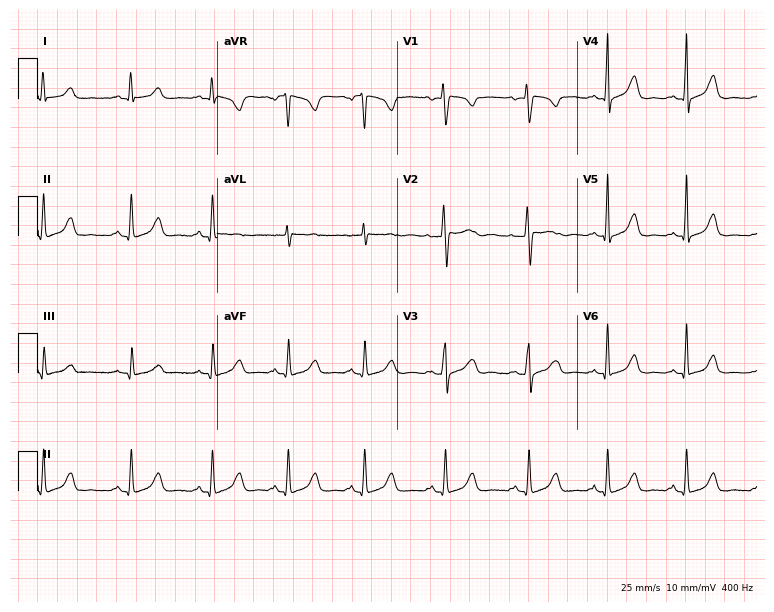
12-lead ECG from a 35-year-old female. No first-degree AV block, right bundle branch block (RBBB), left bundle branch block (LBBB), sinus bradycardia, atrial fibrillation (AF) or sinus tachycardia recorded for this tracing. Findings outside these six are not listed.